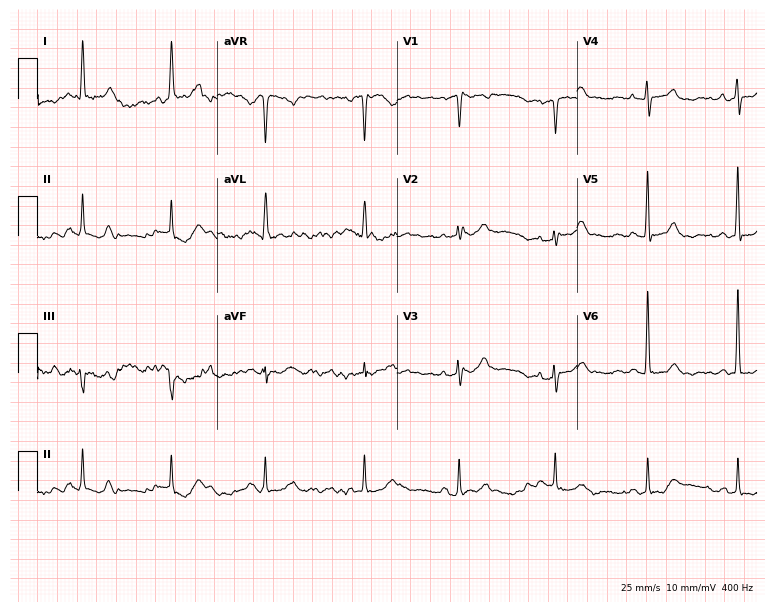
Resting 12-lead electrocardiogram. Patient: a 70-year-old woman. None of these six findings is recorded: first-degree AV block, right bundle branch block (RBBB), left bundle branch block (LBBB), sinus bradycardia, atrial fibrillation (AF), sinus tachycardia. Only these six findings were labelled.